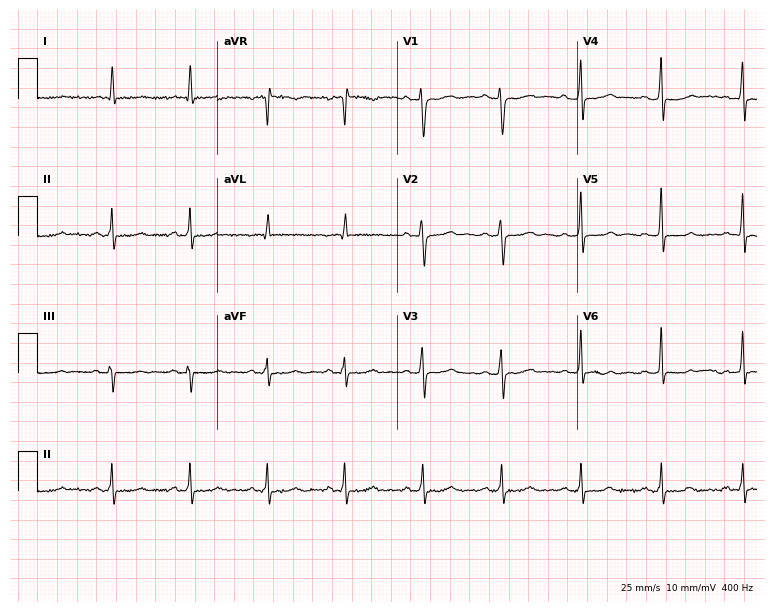
12-lead ECG from a 56-year-old woman. No first-degree AV block, right bundle branch block, left bundle branch block, sinus bradycardia, atrial fibrillation or sinus tachycardia recorded for this tracing.